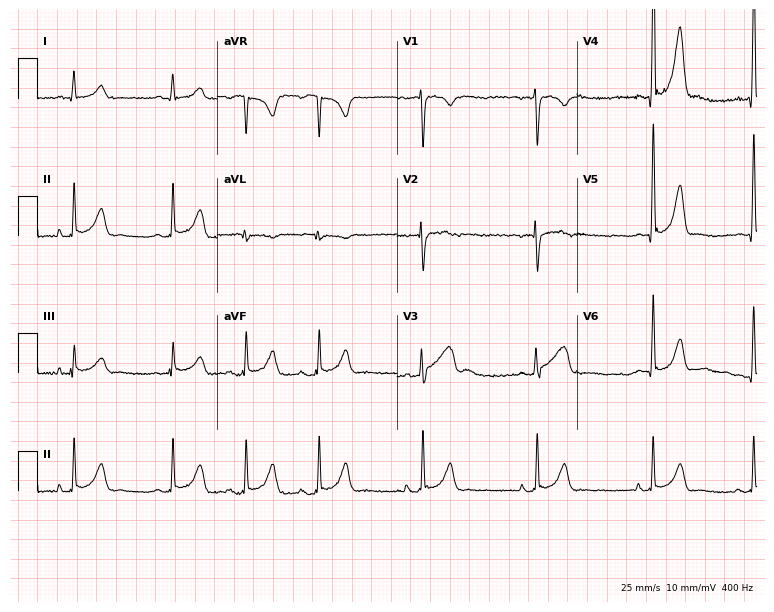
Resting 12-lead electrocardiogram (7.3-second recording at 400 Hz). Patient: an 18-year-old man. Read as a normal ECG.